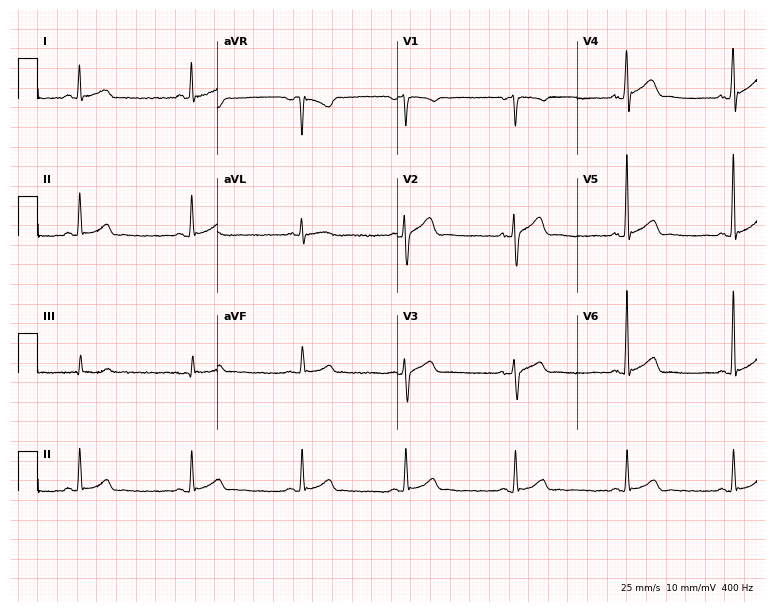
12-lead ECG from a male patient, 30 years old. Recorded interpretation: within normal limits.